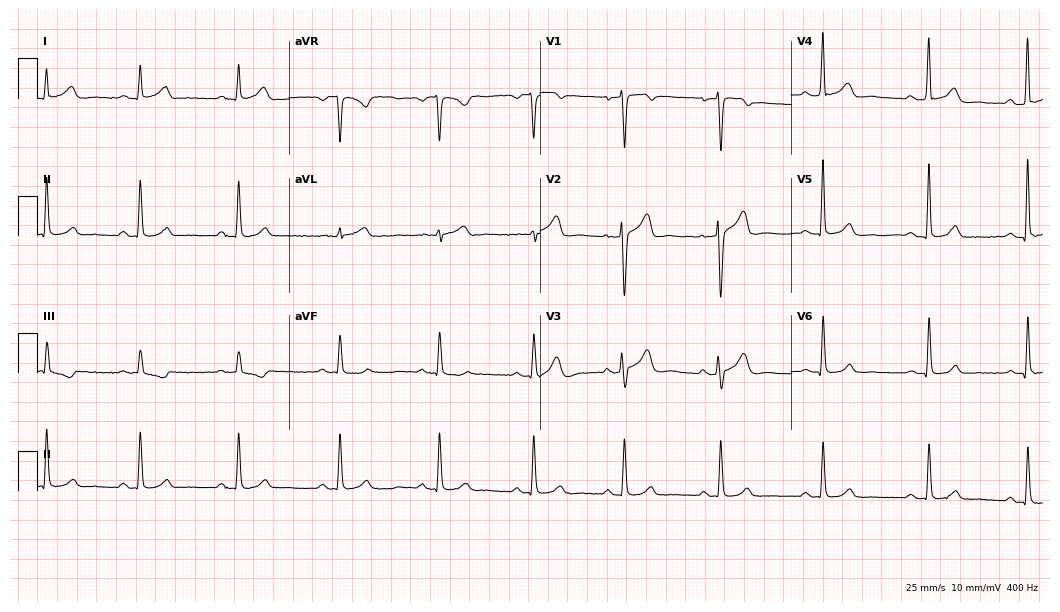
ECG — a 47-year-old man. Labelled as a normal ECG.